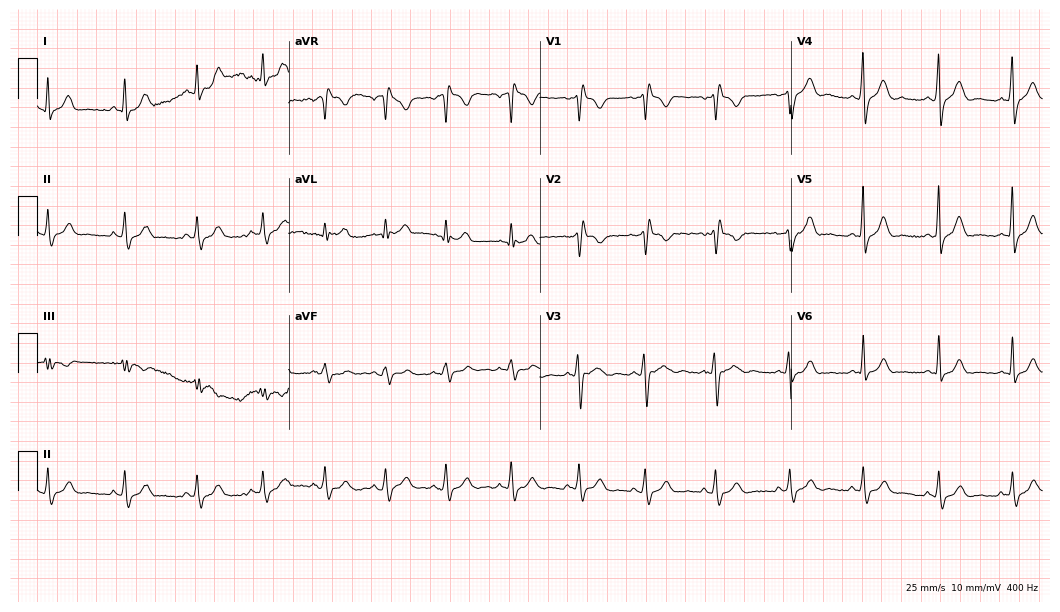
12-lead ECG from a female, 18 years old (10.2-second recording at 400 Hz). Shows right bundle branch block.